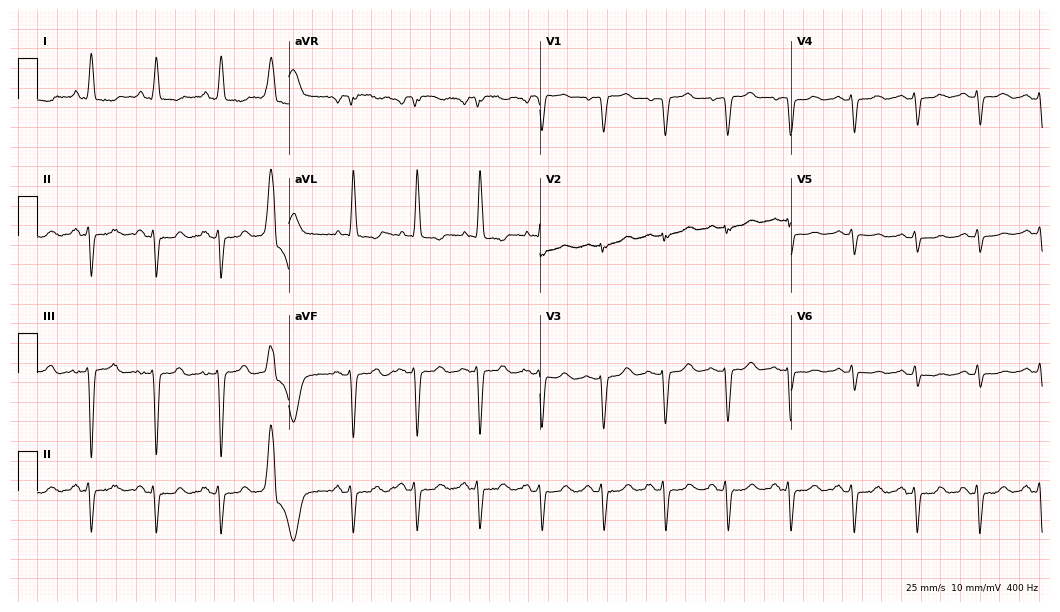
Standard 12-lead ECG recorded from a woman, 75 years old (10.2-second recording at 400 Hz). None of these six findings is recorded: first-degree AV block, right bundle branch block (RBBB), left bundle branch block (LBBB), sinus bradycardia, atrial fibrillation (AF), sinus tachycardia. Findings outside these six are not listed.